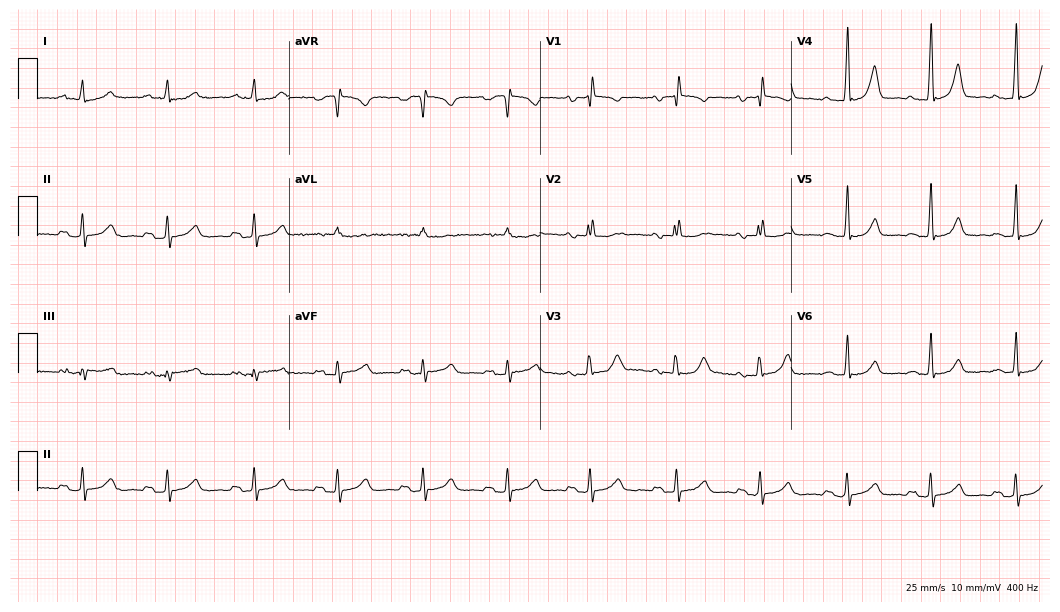
Resting 12-lead electrocardiogram (10.2-second recording at 400 Hz). Patient: a 31-year-old female. The tracing shows first-degree AV block.